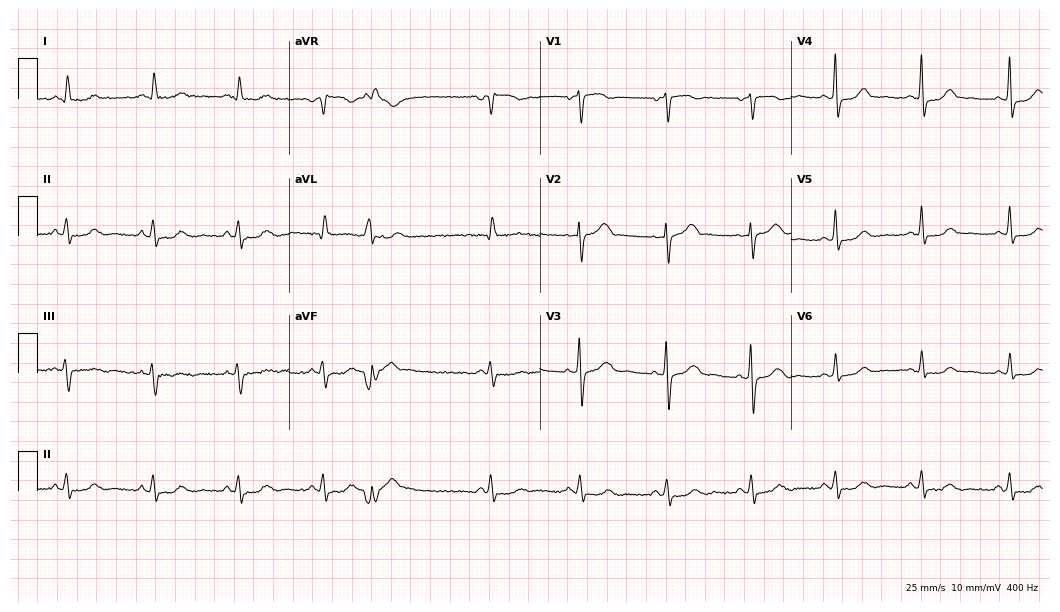
Electrocardiogram, a 65-year-old female patient. Of the six screened findings (first-degree AV block, right bundle branch block, left bundle branch block, sinus bradycardia, atrial fibrillation, sinus tachycardia), none is recorded.